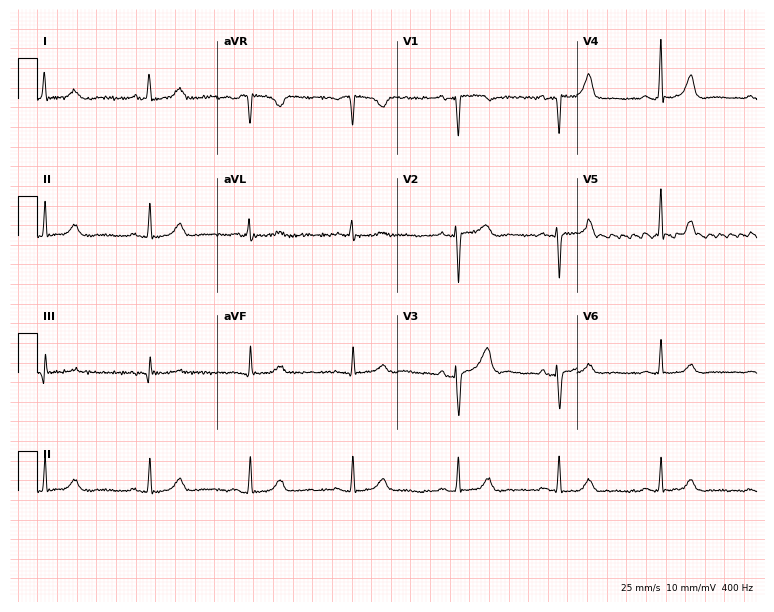
12-lead ECG from a female patient, 68 years old. Recorded interpretation: within normal limits.